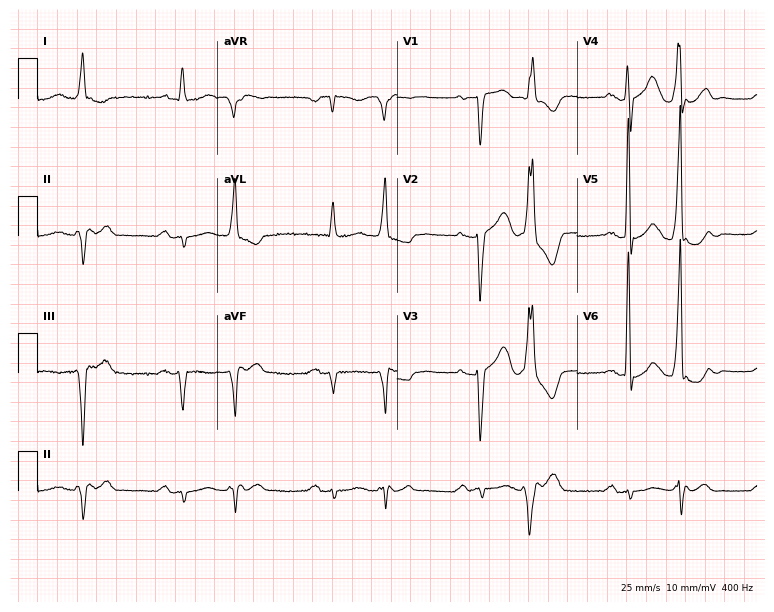
12-lead ECG from an 83-year-old male patient. Shows first-degree AV block.